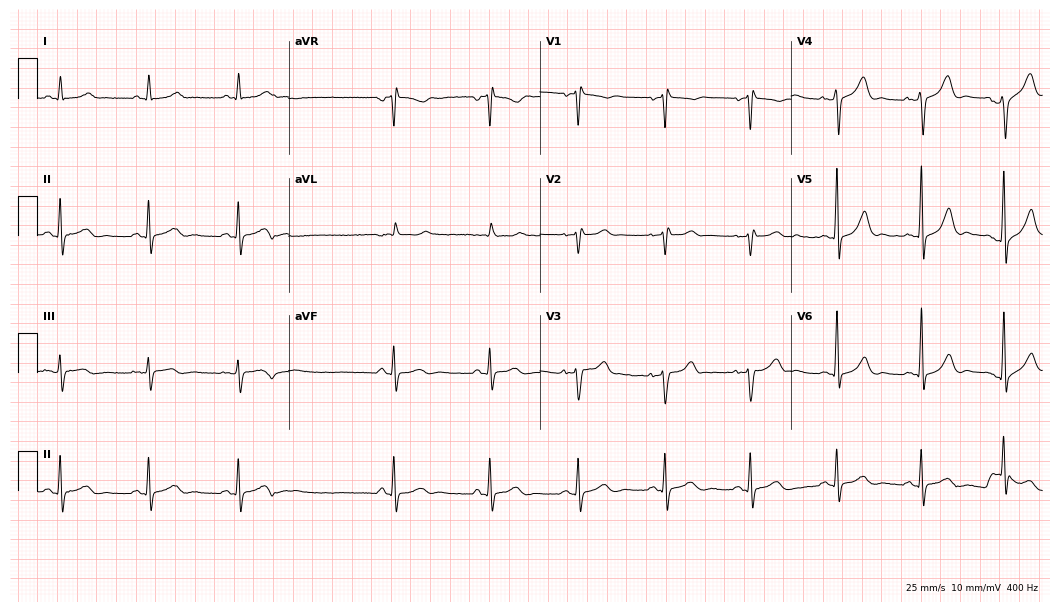
Resting 12-lead electrocardiogram. Patient: a 60-year-old male. None of these six findings is recorded: first-degree AV block, right bundle branch block, left bundle branch block, sinus bradycardia, atrial fibrillation, sinus tachycardia.